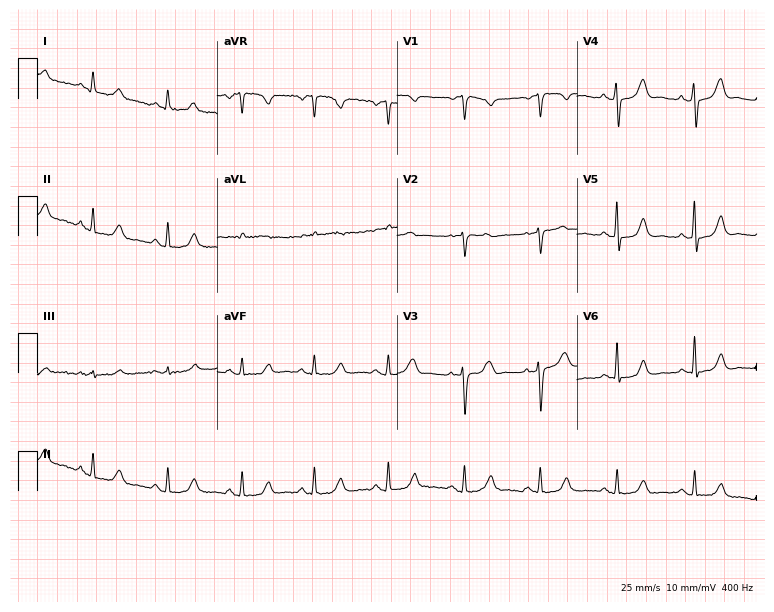
12-lead ECG from a 51-year-old female. No first-degree AV block, right bundle branch block, left bundle branch block, sinus bradycardia, atrial fibrillation or sinus tachycardia recorded for this tracing.